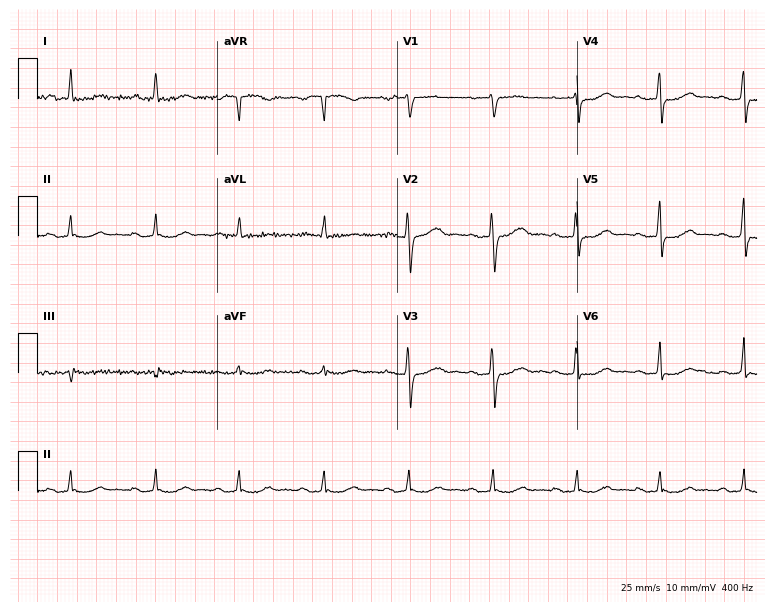
12-lead ECG from a 62-year-old female patient. Findings include first-degree AV block.